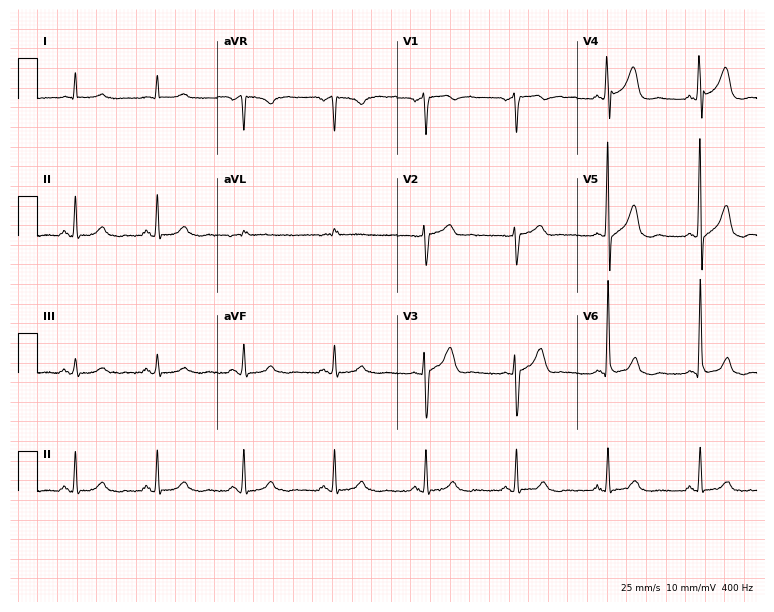
Standard 12-lead ECG recorded from a man, 52 years old (7.3-second recording at 400 Hz). None of these six findings is recorded: first-degree AV block, right bundle branch block, left bundle branch block, sinus bradycardia, atrial fibrillation, sinus tachycardia.